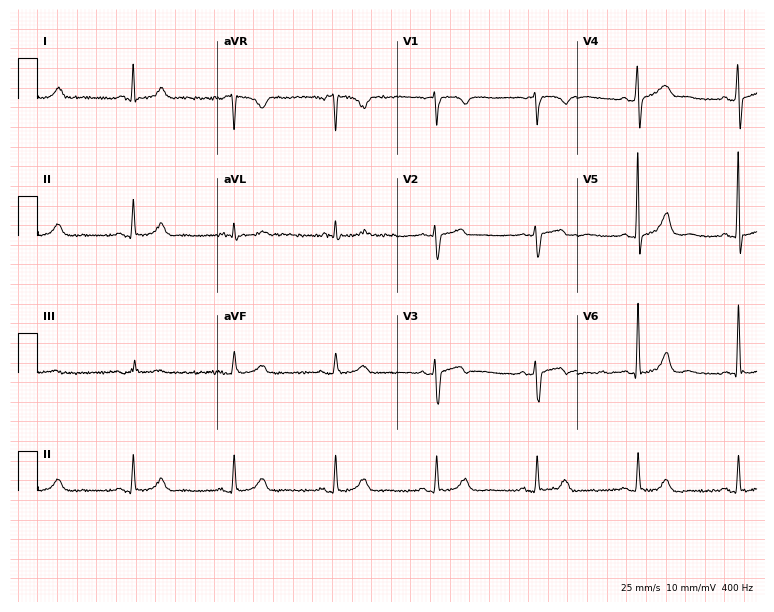
Electrocardiogram, a 55-year-old male patient. Of the six screened findings (first-degree AV block, right bundle branch block (RBBB), left bundle branch block (LBBB), sinus bradycardia, atrial fibrillation (AF), sinus tachycardia), none is recorded. Only these six findings were labelled.